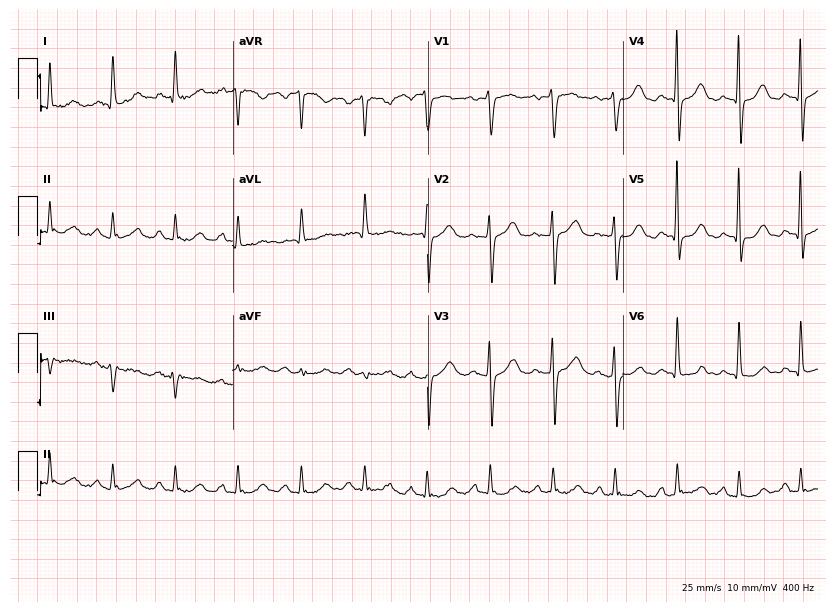
12-lead ECG from a female, 48 years old. Screened for six findings — first-degree AV block, right bundle branch block, left bundle branch block, sinus bradycardia, atrial fibrillation, sinus tachycardia — none is recorded. Findings outside these six are not listed.